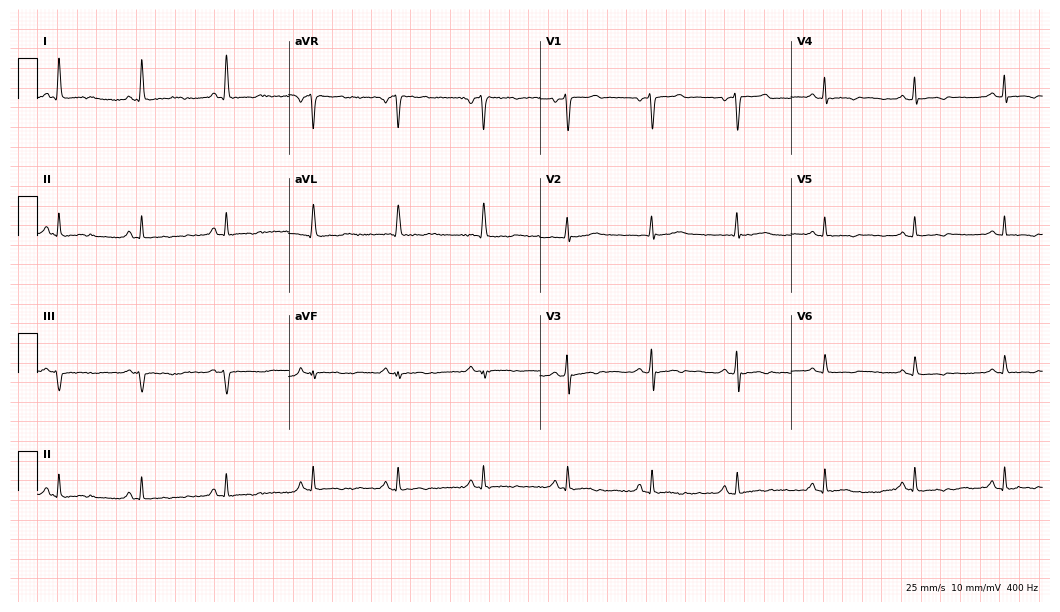
Resting 12-lead electrocardiogram (10.2-second recording at 400 Hz). Patient: a female, 59 years old. None of these six findings is recorded: first-degree AV block, right bundle branch block (RBBB), left bundle branch block (LBBB), sinus bradycardia, atrial fibrillation (AF), sinus tachycardia. Other findings, if any, are not listed.